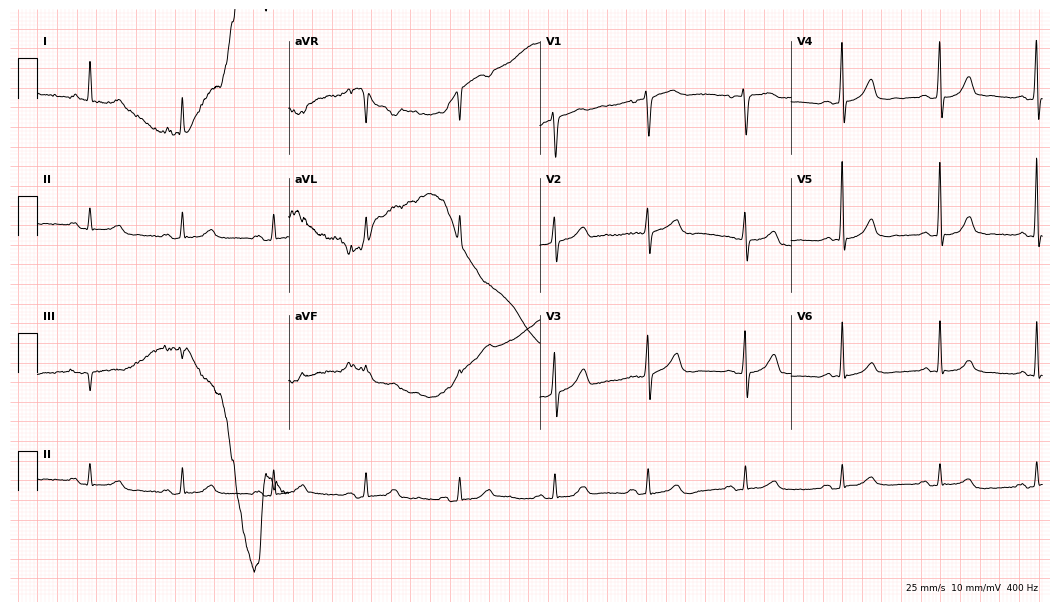
Standard 12-lead ECG recorded from an 81-year-old female (10.2-second recording at 400 Hz). Read as a normal ECG.